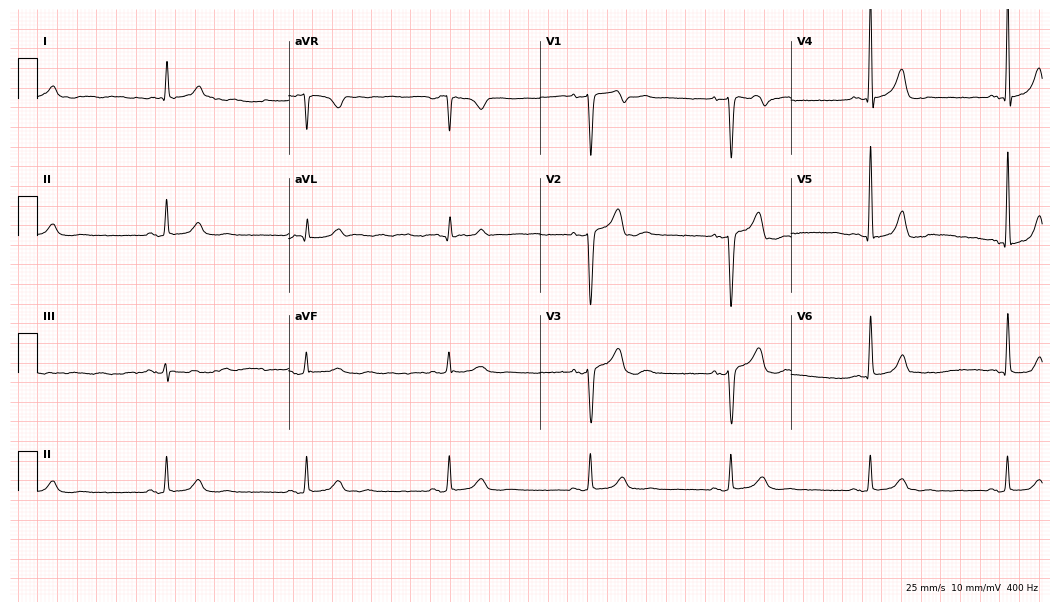
Standard 12-lead ECG recorded from a male patient, 44 years old (10.2-second recording at 400 Hz). The tracing shows sinus bradycardia (a sinus rate of 50 beats per minute or less).